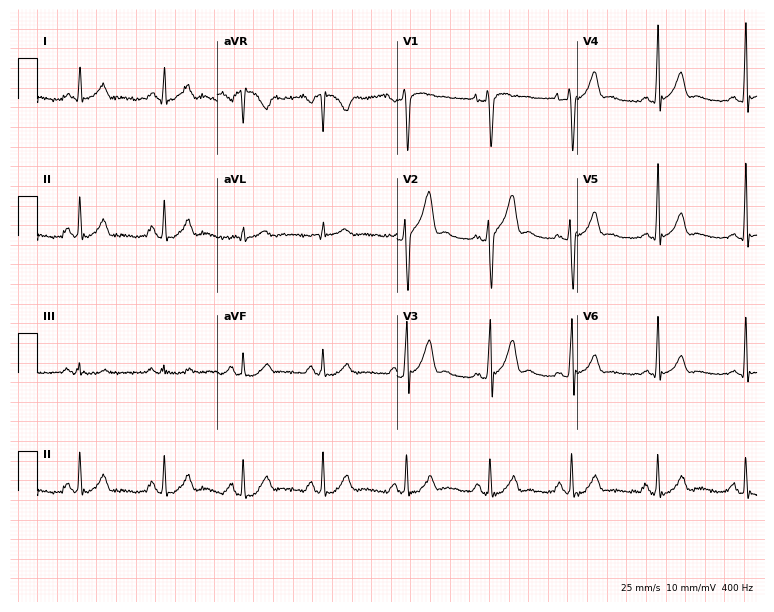
ECG (7.3-second recording at 400 Hz) — a 34-year-old male patient. Labelled as a normal ECG.